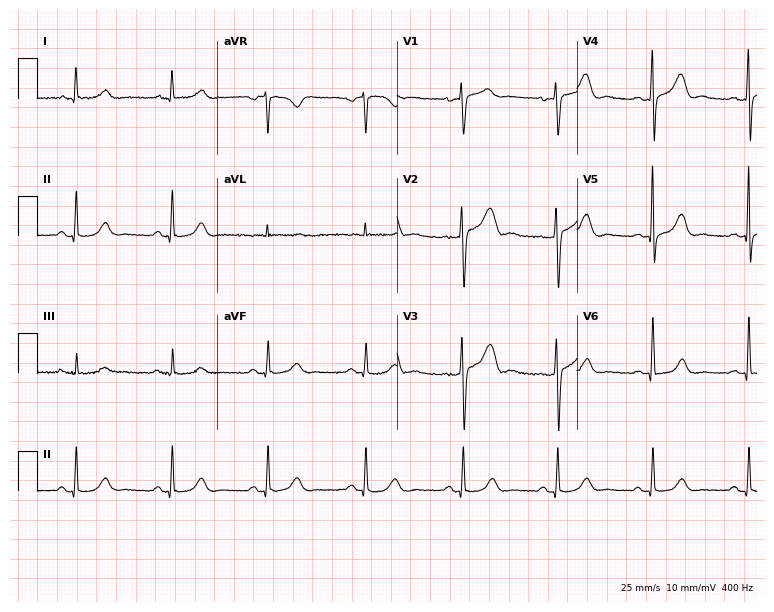
Electrocardiogram, a 63-year-old female patient. Of the six screened findings (first-degree AV block, right bundle branch block (RBBB), left bundle branch block (LBBB), sinus bradycardia, atrial fibrillation (AF), sinus tachycardia), none is recorded.